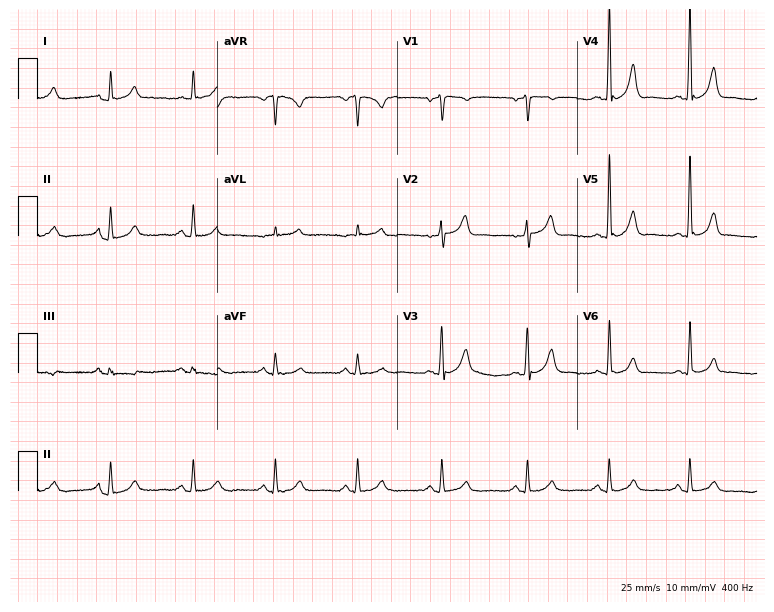
12-lead ECG (7.3-second recording at 400 Hz) from a male patient, 72 years old. Labelled as a normal ECG.